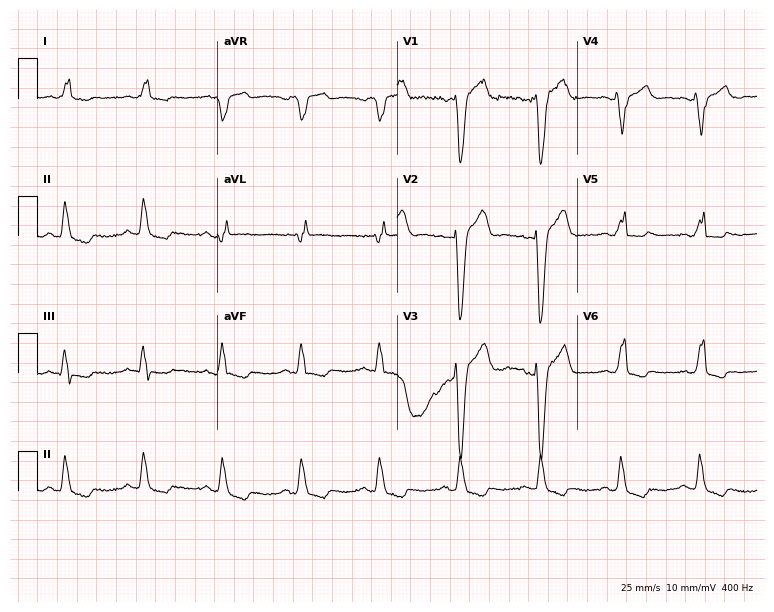
Resting 12-lead electrocardiogram. Patient: a 62-year-old man. The tracing shows left bundle branch block.